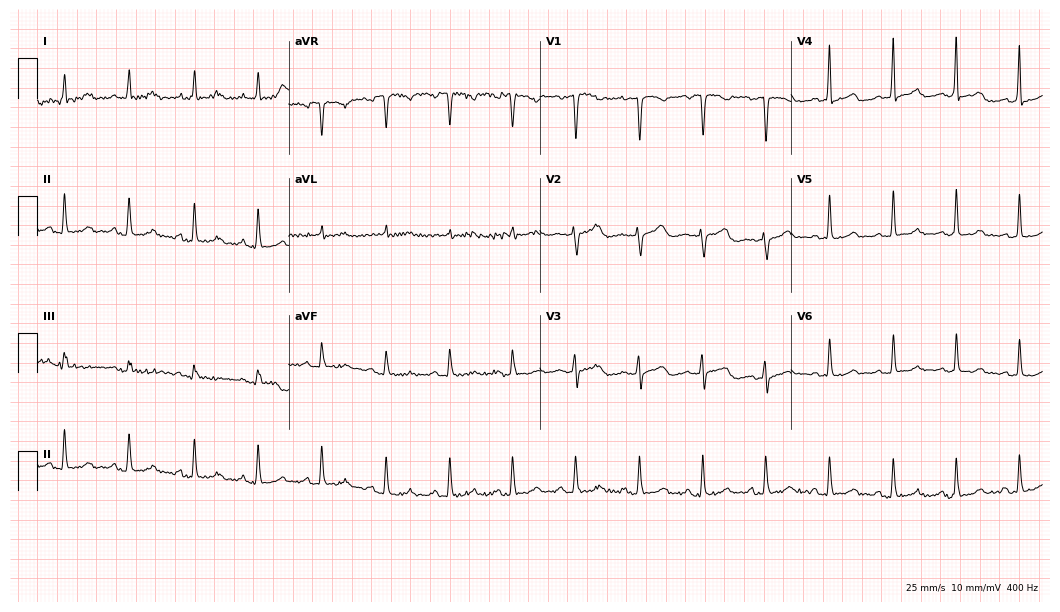
12-lead ECG from a female, 47 years old. Labelled as a normal ECG.